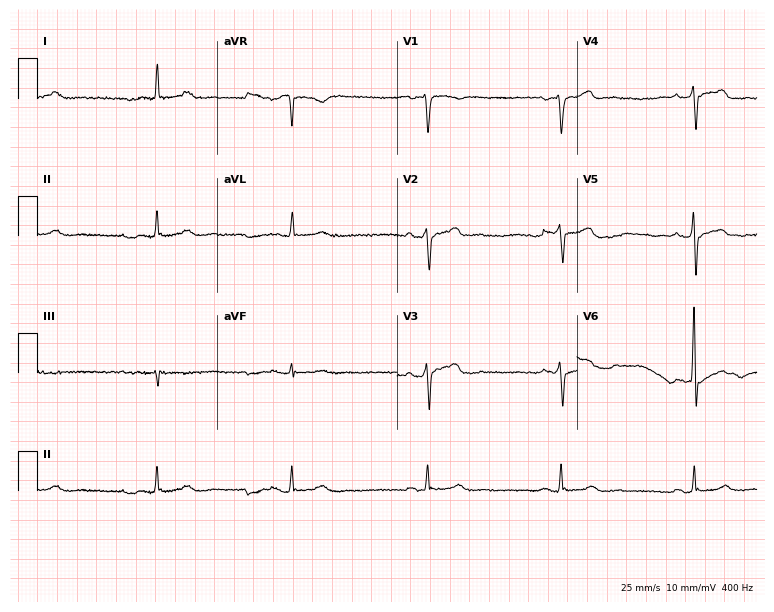
12-lead ECG from a 62-year-old male. Shows sinus bradycardia (a sinus rate of 50 beats per minute or less).